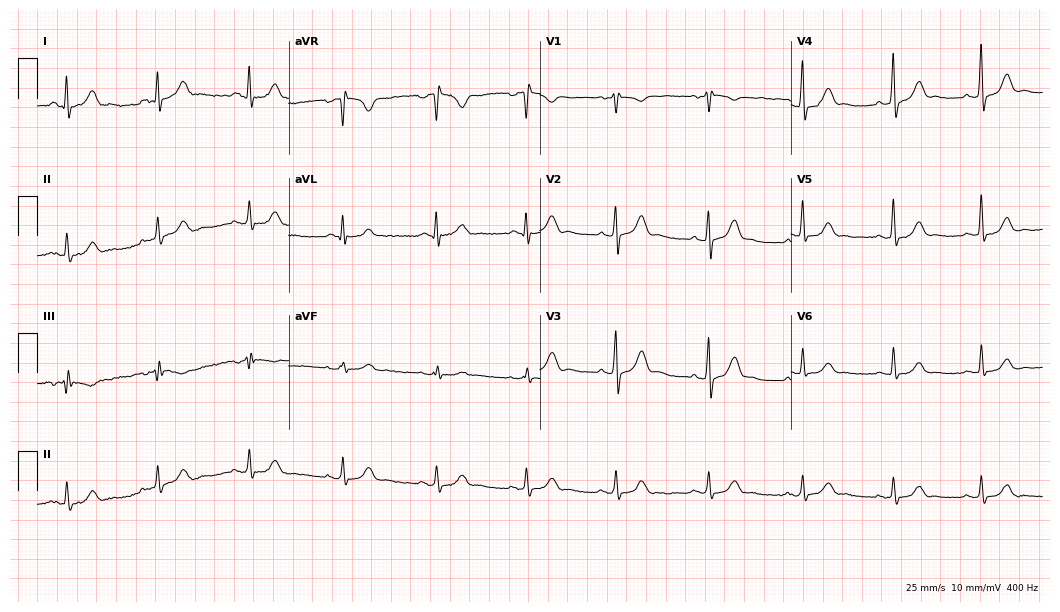
ECG — a 59-year-old male patient. Screened for six findings — first-degree AV block, right bundle branch block (RBBB), left bundle branch block (LBBB), sinus bradycardia, atrial fibrillation (AF), sinus tachycardia — none is recorded. Only these six findings were labelled.